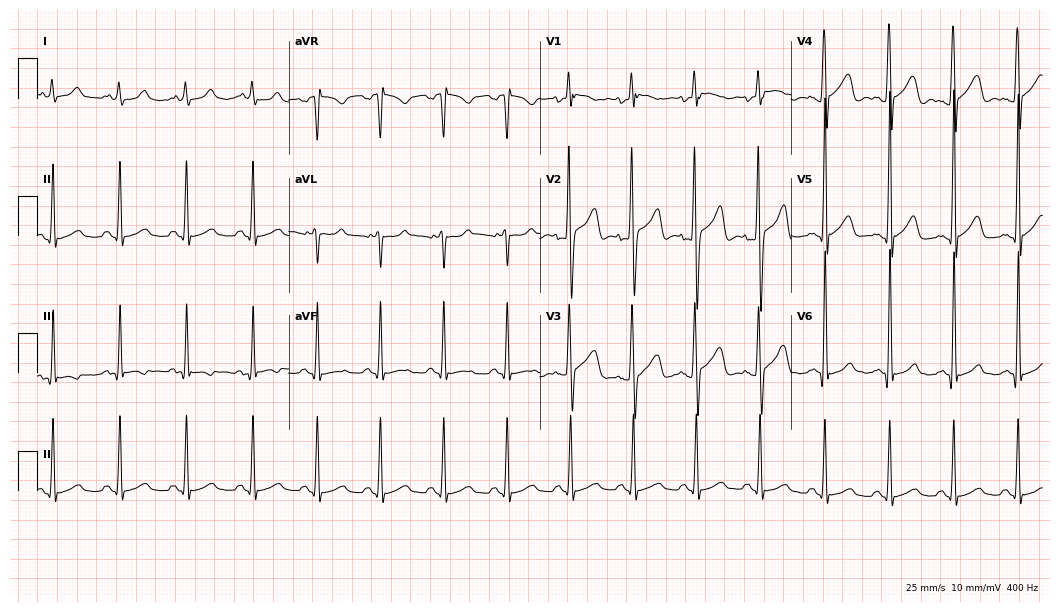
Electrocardiogram (10.2-second recording at 400 Hz), a man, 28 years old. Overall reading on record: normal ECG.